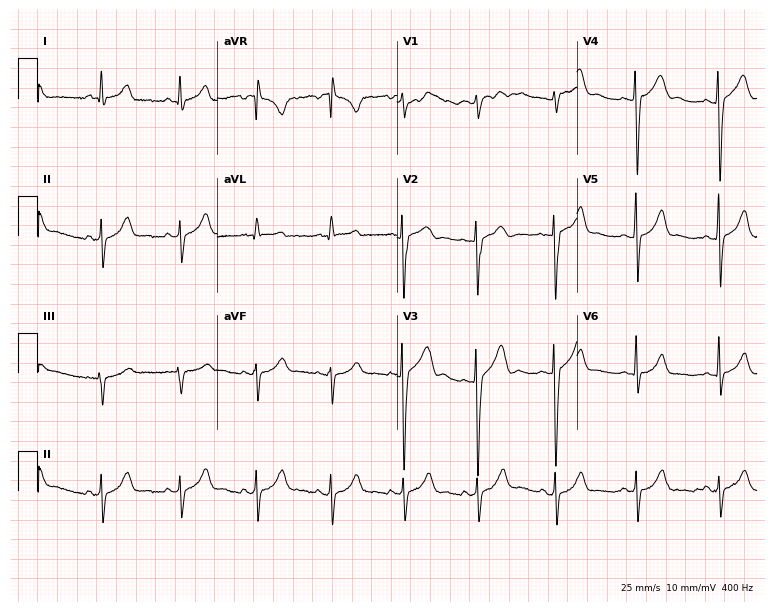
Resting 12-lead electrocardiogram. Patient: a 17-year-old male. Read as a normal ECG.